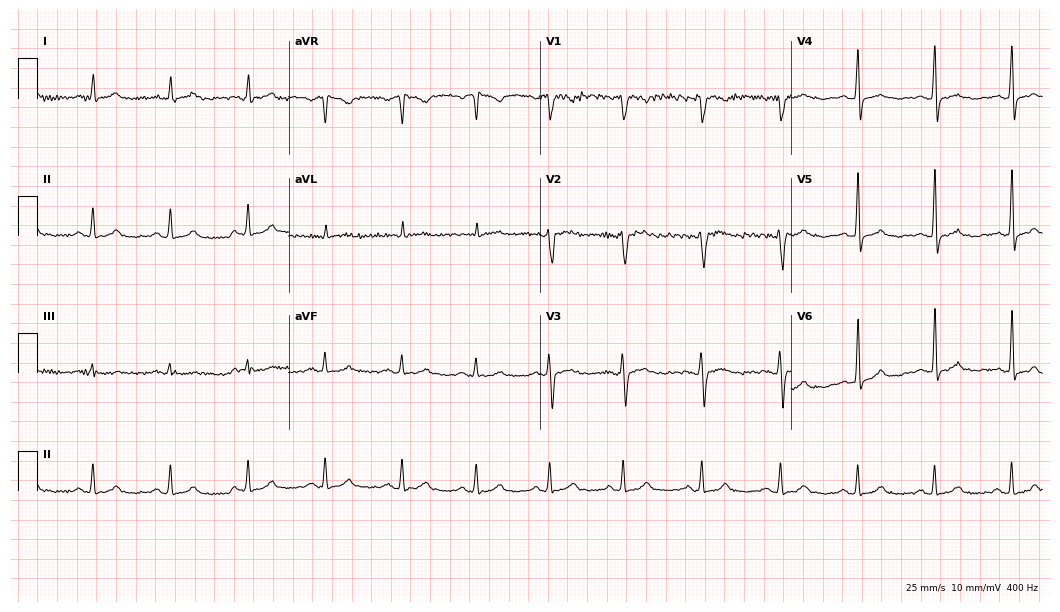
Standard 12-lead ECG recorded from a 41-year-old female (10.2-second recording at 400 Hz). Read as a normal ECG.